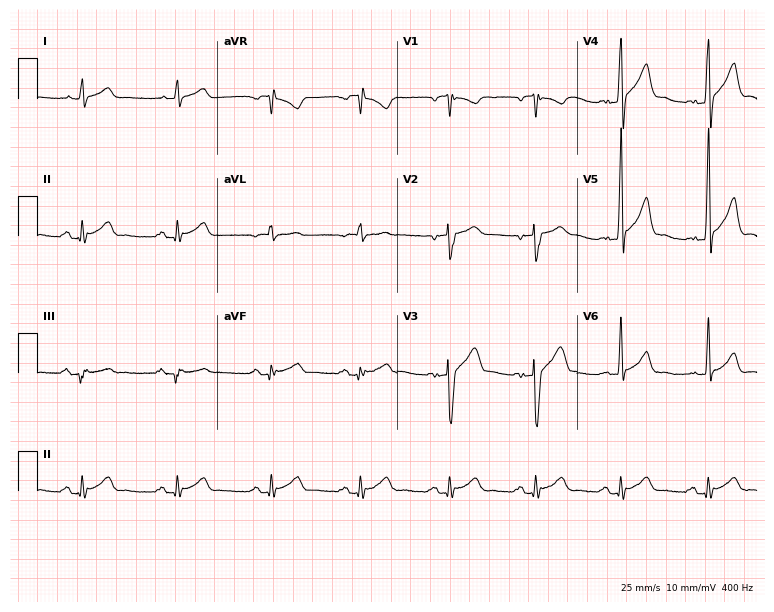
12-lead ECG from a man, 36 years old. Labelled as a normal ECG.